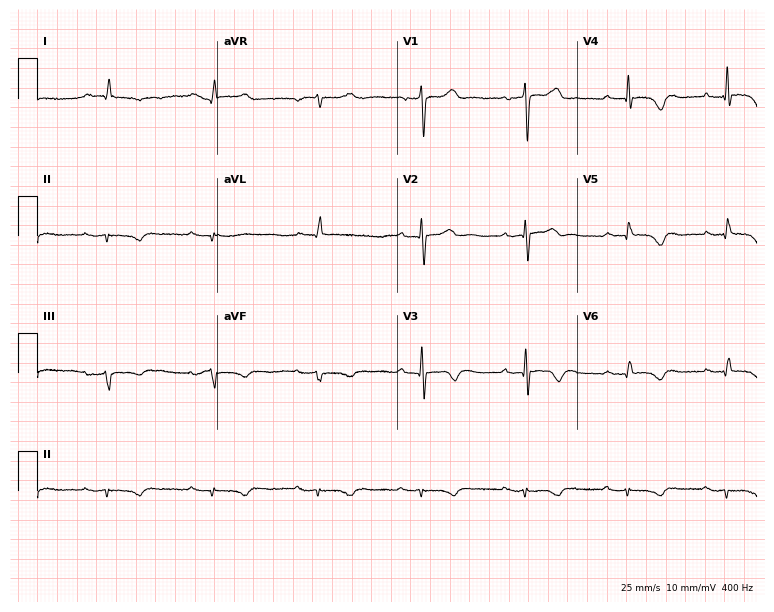
12-lead ECG from a 72-year-old male (7.3-second recording at 400 Hz). Shows first-degree AV block.